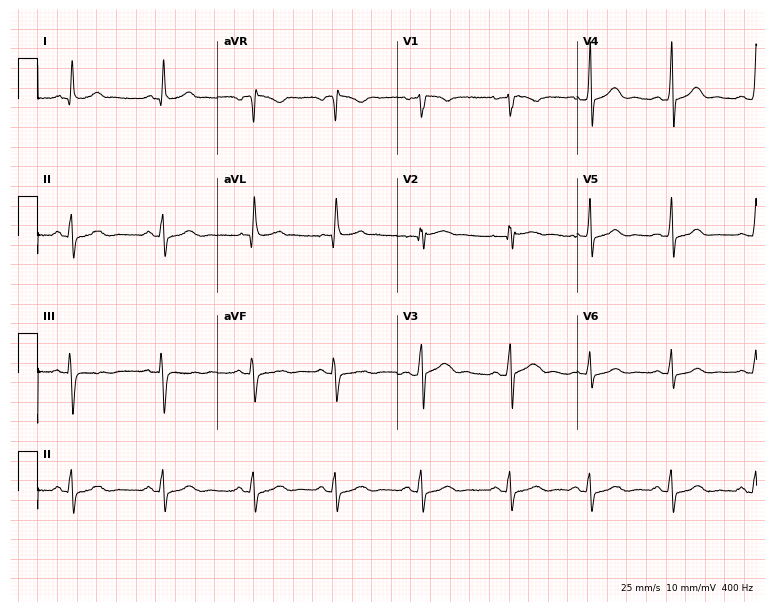
Standard 12-lead ECG recorded from a female, 38 years old (7.3-second recording at 400 Hz). None of these six findings is recorded: first-degree AV block, right bundle branch block, left bundle branch block, sinus bradycardia, atrial fibrillation, sinus tachycardia. Findings outside these six are not listed.